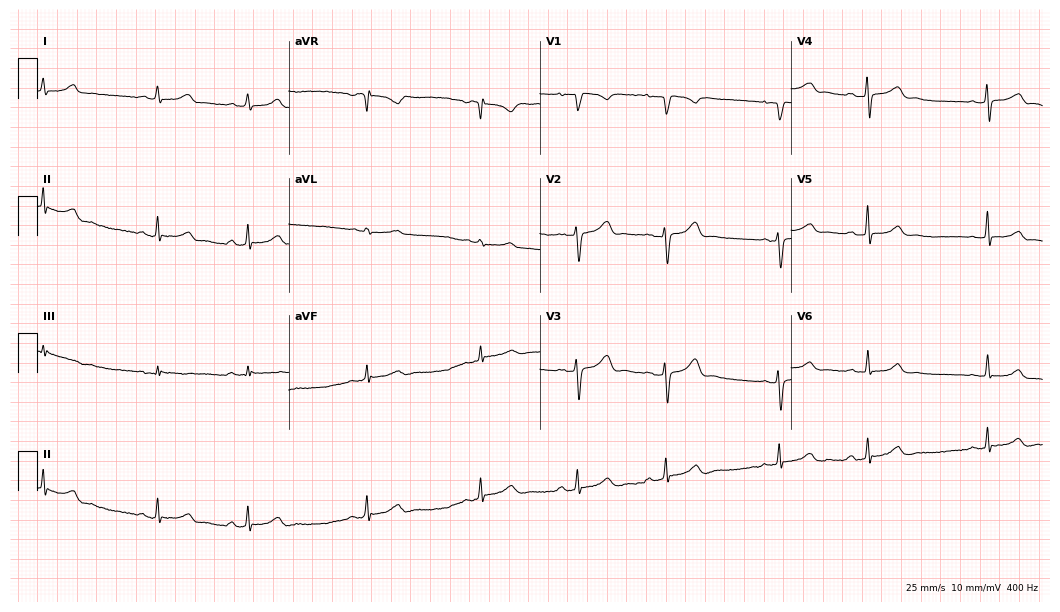
Resting 12-lead electrocardiogram. Patient: a 22-year-old woman. None of these six findings is recorded: first-degree AV block, right bundle branch block, left bundle branch block, sinus bradycardia, atrial fibrillation, sinus tachycardia.